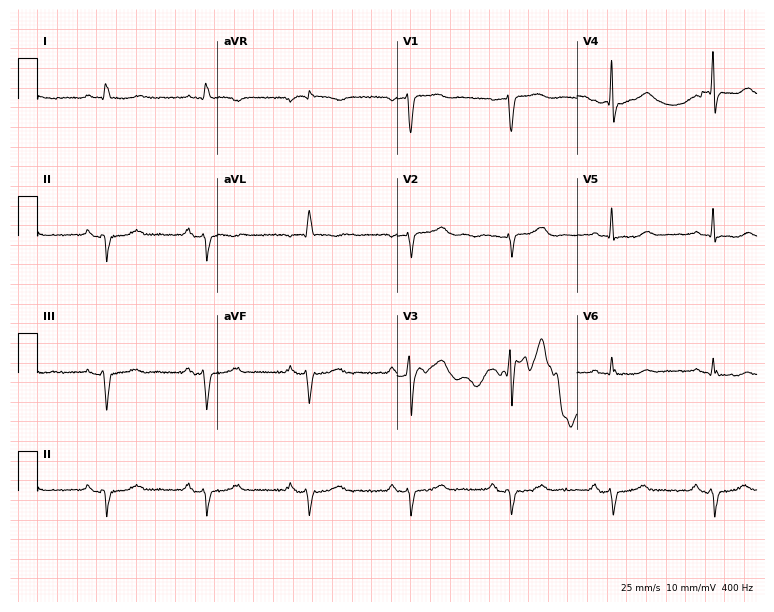
Standard 12-lead ECG recorded from a woman, 85 years old (7.3-second recording at 400 Hz). None of these six findings is recorded: first-degree AV block, right bundle branch block, left bundle branch block, sinus bradycardia, atrial fibrillation, sinus tachycardia.